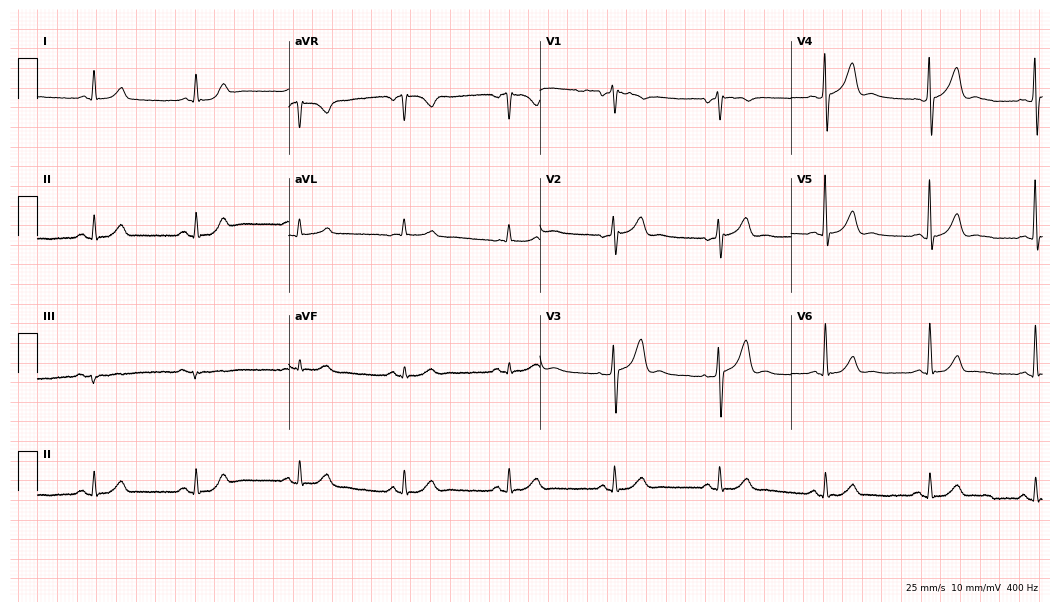
12-lead ECG from a male, 67 years old (10.2-second recording at 400 Hz). Recorded interpretation: within normal limits.